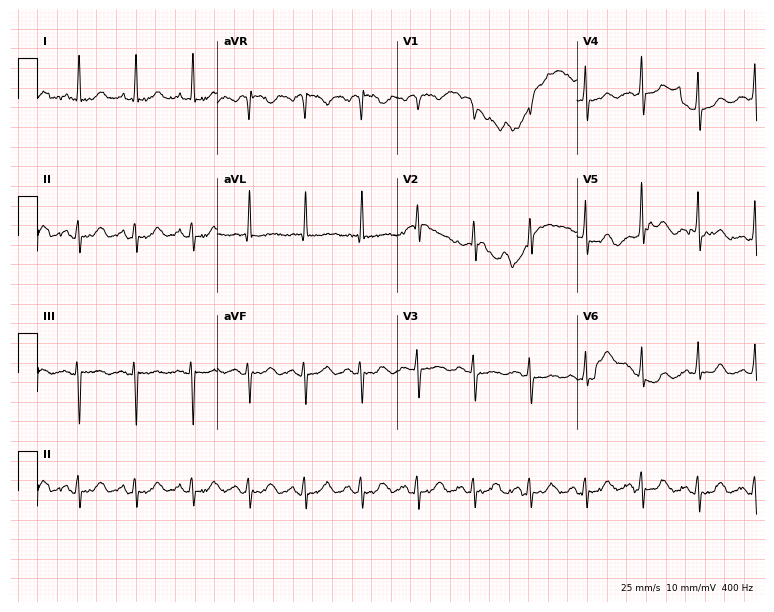
Resting 12-lead electrocardiogram (7.3-second recording at 400 Hz). Patient: a woman, 70 years old. Read as a normal ECG.